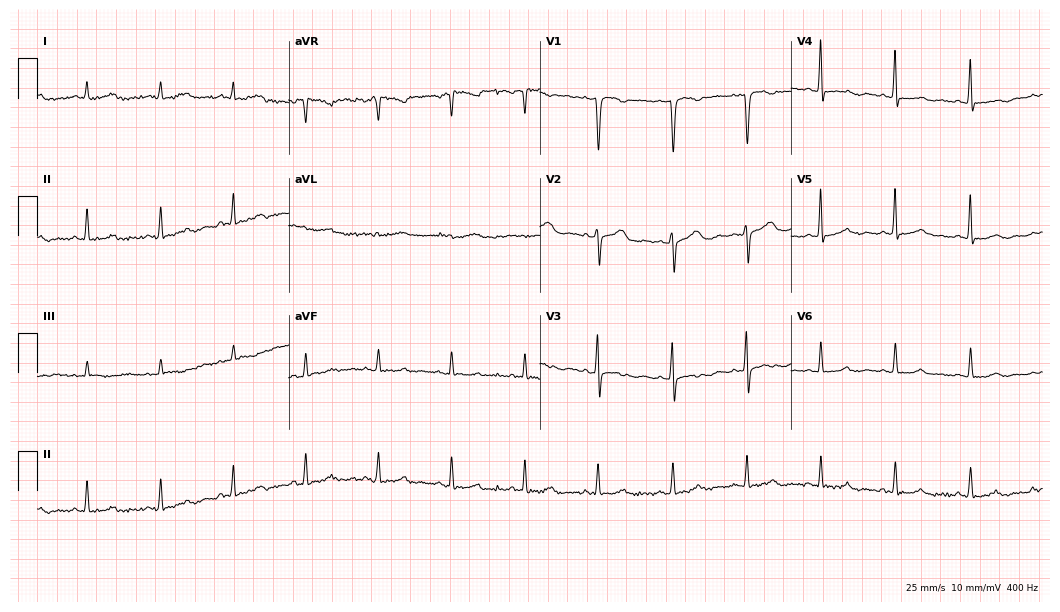
ECG — a female patient, 46 years old. Labelled as a normal ECG.